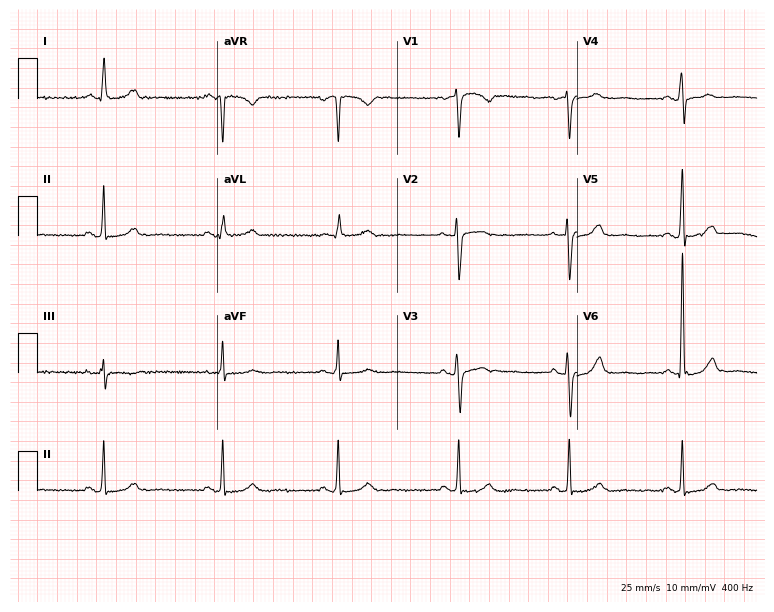
Electrocardiogram, a 62-year-old female patient. Interpretation includes sinus bradycardia (a sinus rate of 50 beats per minute or less).